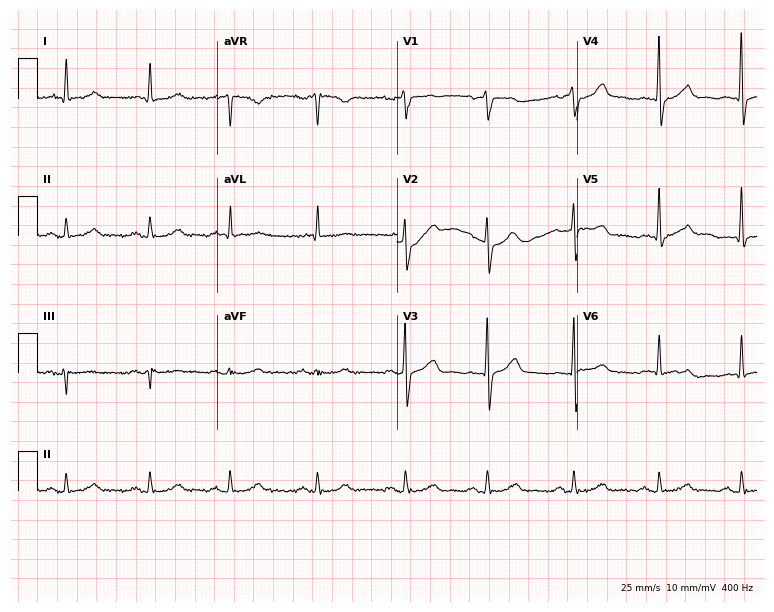
Standard 12-lead ECG recorded from a 77-year-old male (7.3-second recording at 400 Hz). None of these six findings is recorded: first-degree AV block, right bundle branch block (RBBB), left bundle branch block (LBBB), sinus bradycardia, atrial fibrillation (AF), sinus tachycardia.